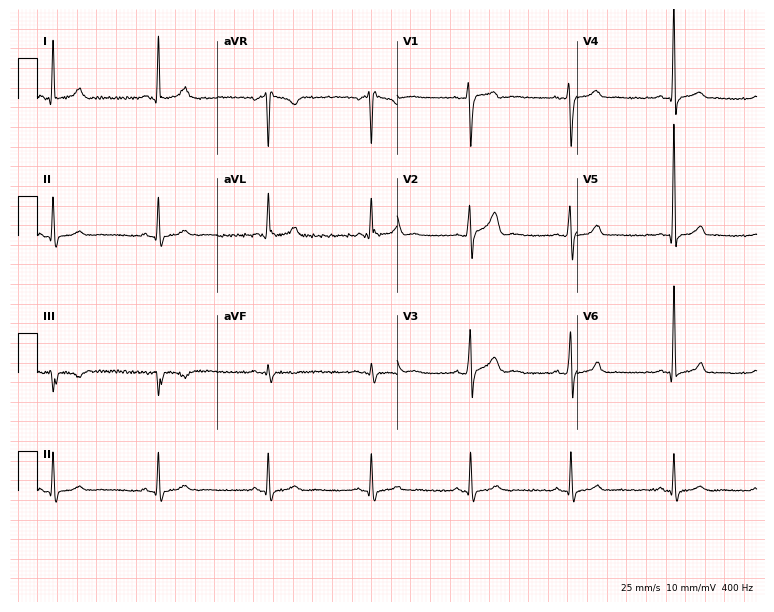
ECG — a 24-year-old male. Screened for six findings — first-degree AV block, right bundle branch block, left bundle branch block, sinus bradycardia, atrial fibrillation, sinus tachycardia — none is recorded.